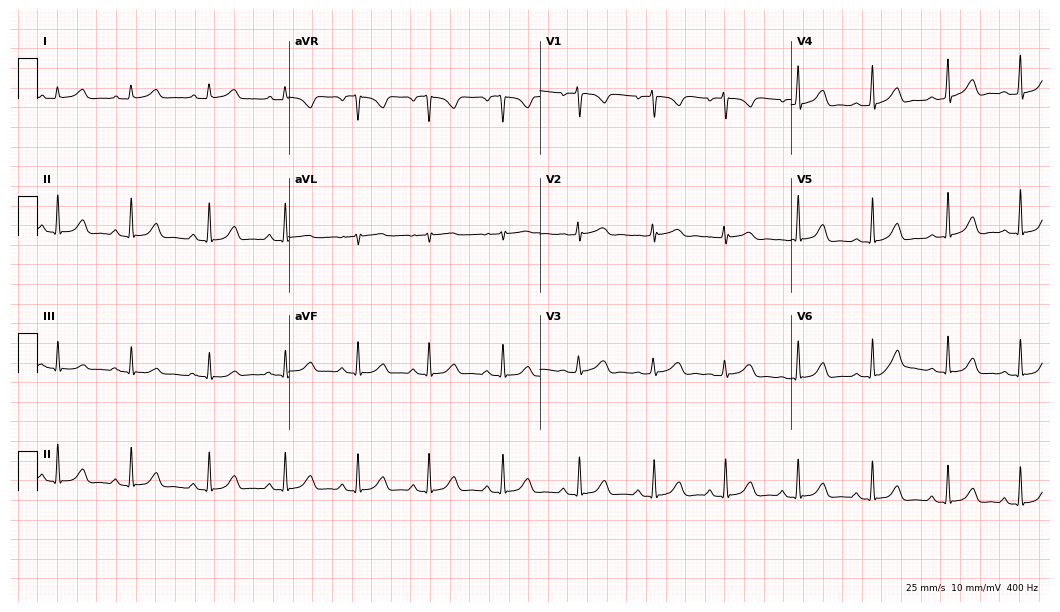
Standard 12-lead ECG recorded from a 26-year-old female. Read as a normal ECG.